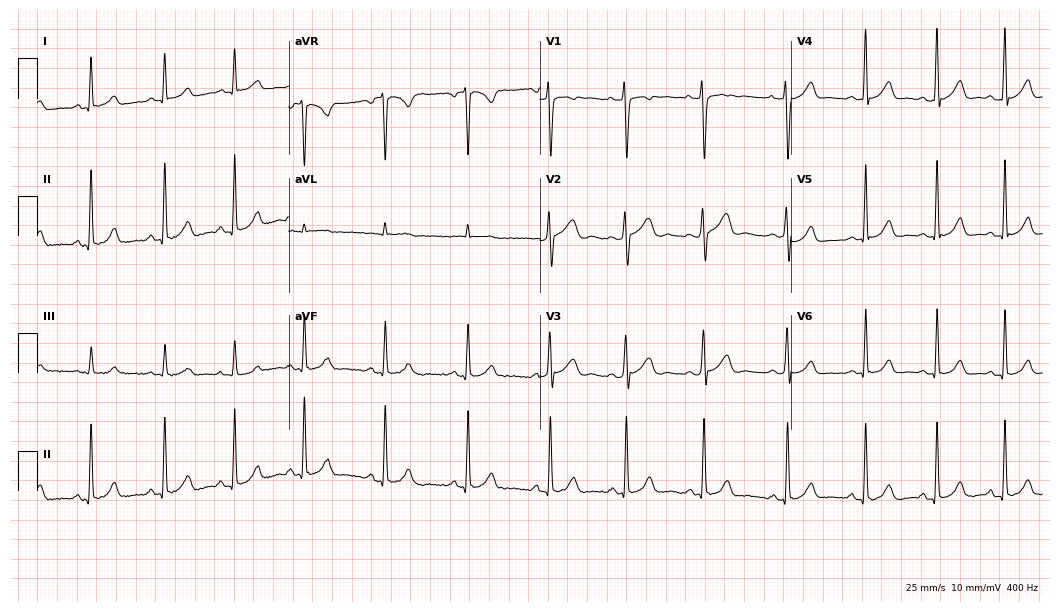
ECG — a 30-year-old female patient. Labelled as a normal ECG.